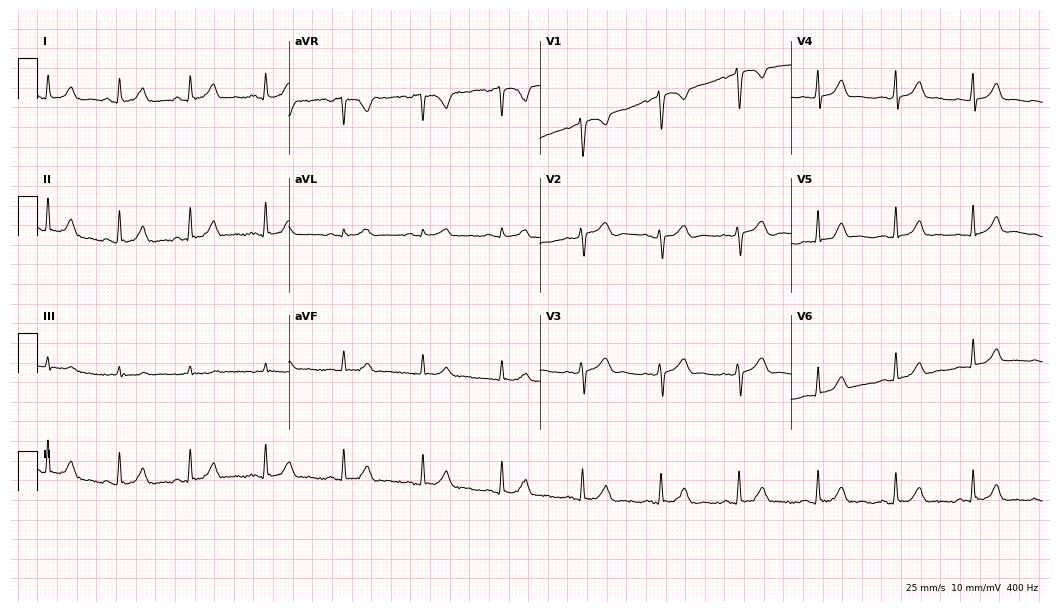
12-lead ECG (10.2-second recording at 400 Hz) from a female patient, 31 years old. Labelled as a normal ECG.